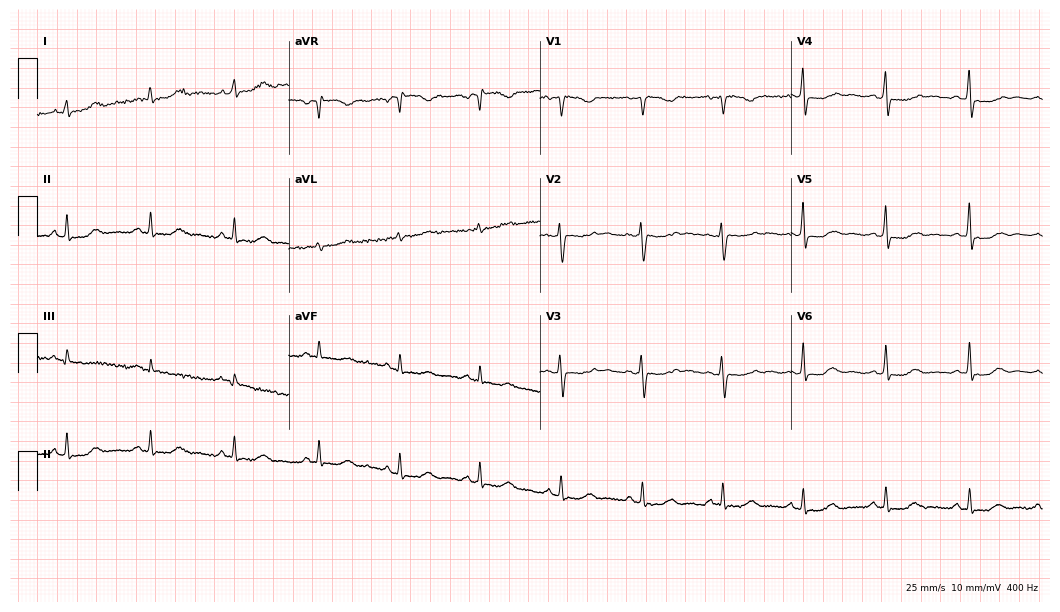
Standard 12-lead ECG recorded from a 41-year-old female. Read as a normal ECG.